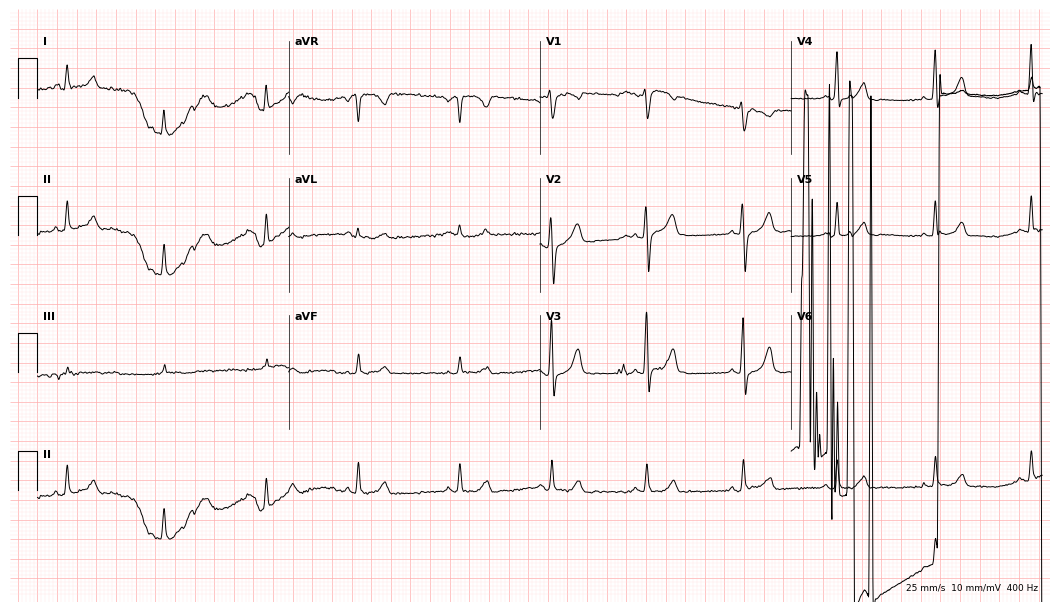
ECG — a 29-year-old female. Screened for six findings — first-degree AV block, right bundle branch block, left bundle branch block, sinus bradycardia, atrial fibrillation, sinus tachycardia — none is recorded.